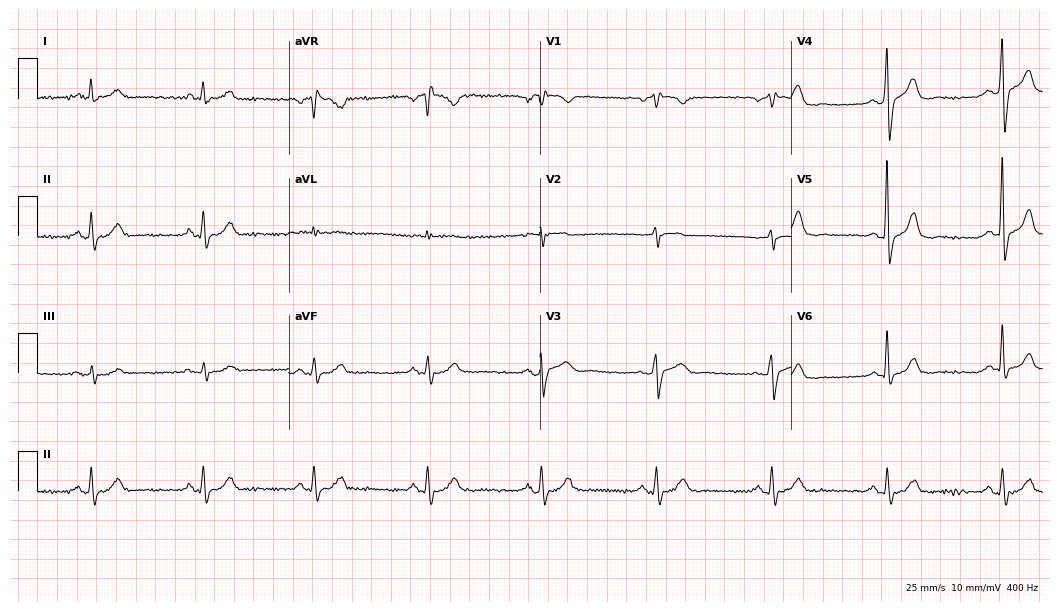
Electrocardiogram (10.2-second recording at 400 Hz), a 79-year-old male. Of the six screened findings (first-degree AV block, right bundle branch block, left bundle branch block, sinus bradycardia, atrial fibrillation, sinus tachycardia), none is recorded.